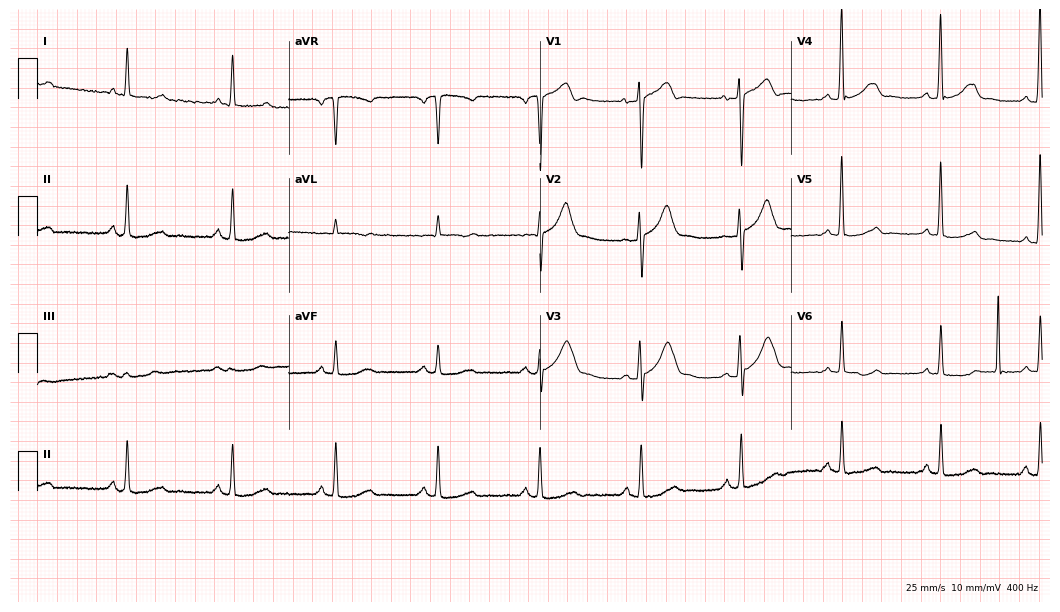
Electrocardiogram, a man, 73 years old. Of the six screened findings (first-degree AV block, right bundle branch block (RBBB), left bundle branch block (LBBB), sinus bradycardia, atrial fibrillation (AF), sinus tachycardia), none is recorded.